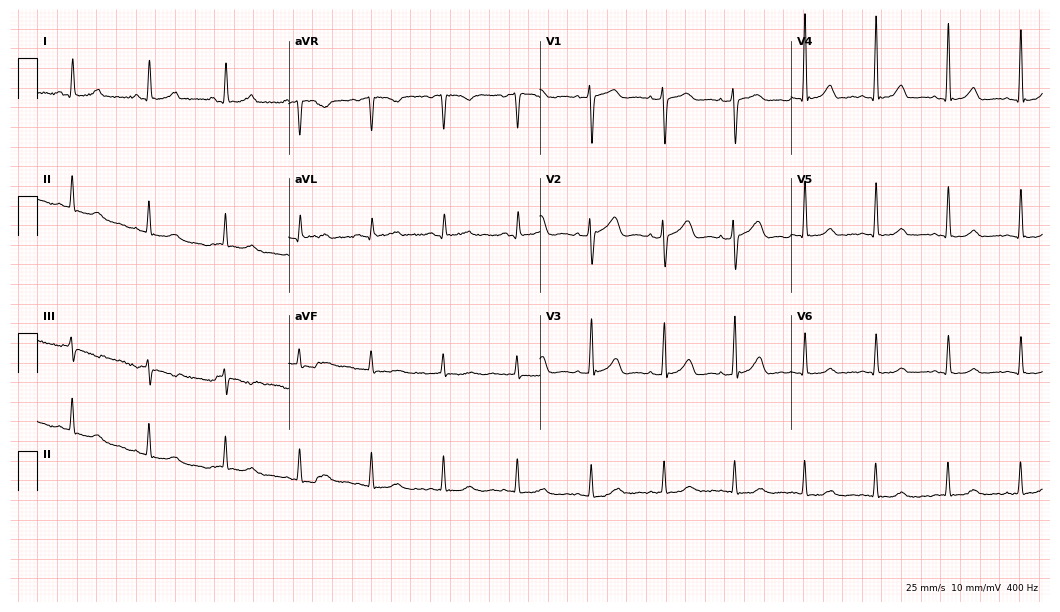
Resting 12-lead electrocardiogram (10.2-second recording at 400 Hz). Patient: a 45-year-old woman. Read as a normal ECG.